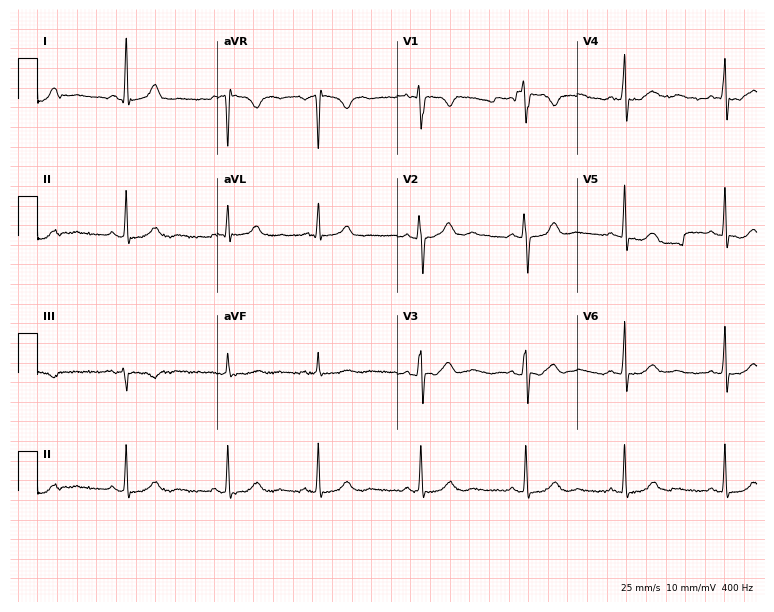
ECG — a female patient, 37 years old. Labelled as a normal ECG.